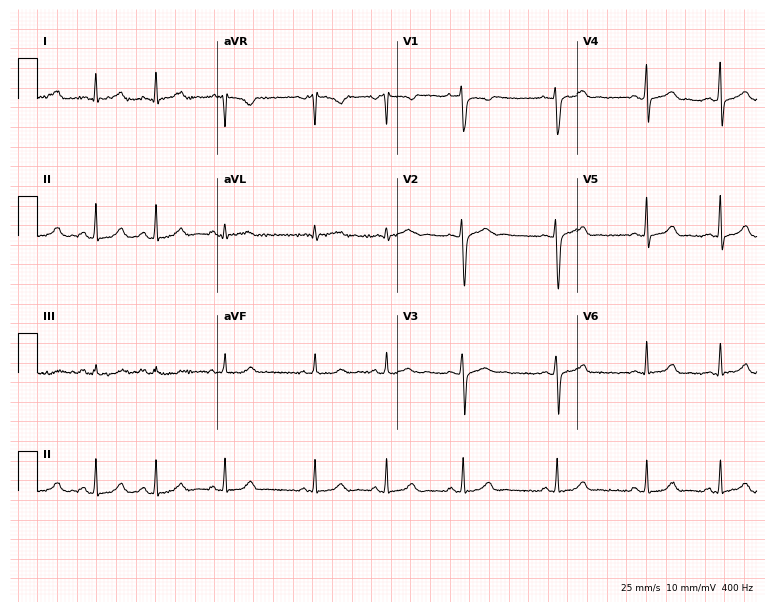
Resting 12-lead electrocardiogram (7.3-second recording at 400 Hz). Patient: a female, 26 years old. Read as a normal ECG.